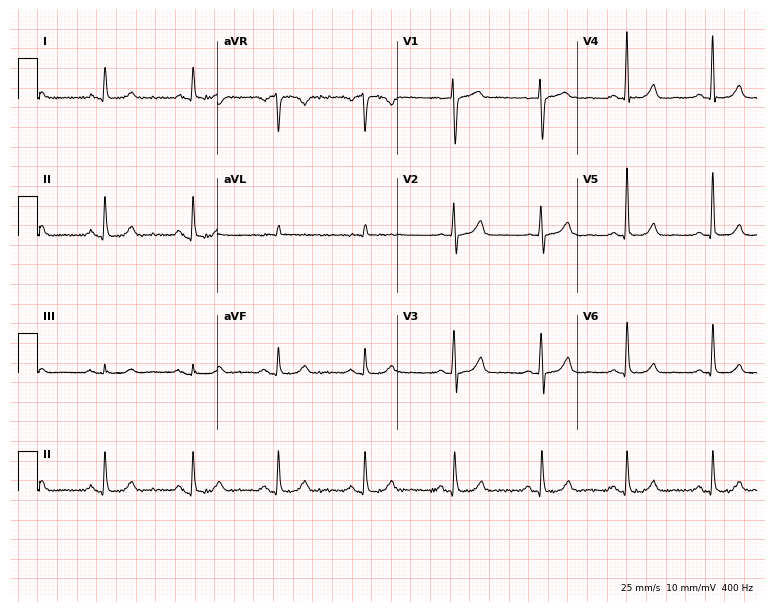
12-lead ECG from a female patient, 61 years old (7.3-second recording at 400 Hz). Recorded interpretation: within normal limits.